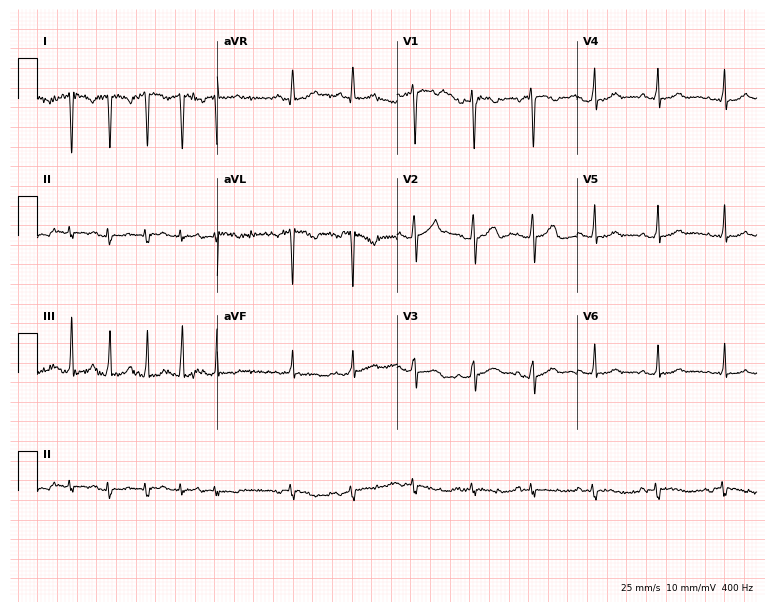
Standard 12-lead ECG recorded from a 42-year-old woman (7.3-second recording at 400 Hz). None of these six findings is recorded: first-degree AV block, right bundle branch block (RBBB), left bundle branch block (LBBB), sinus bradycardia, atrial fibrillation (AF), sinus tachycardia. Findings outside these six are not listed.